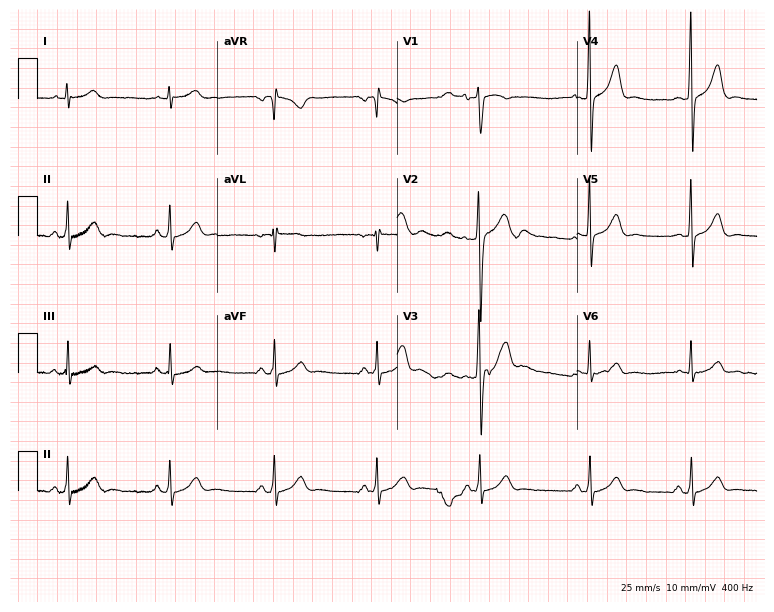
Standard 12-lead ECG recorded from a 17-year-old man. Read as a normal ECG.